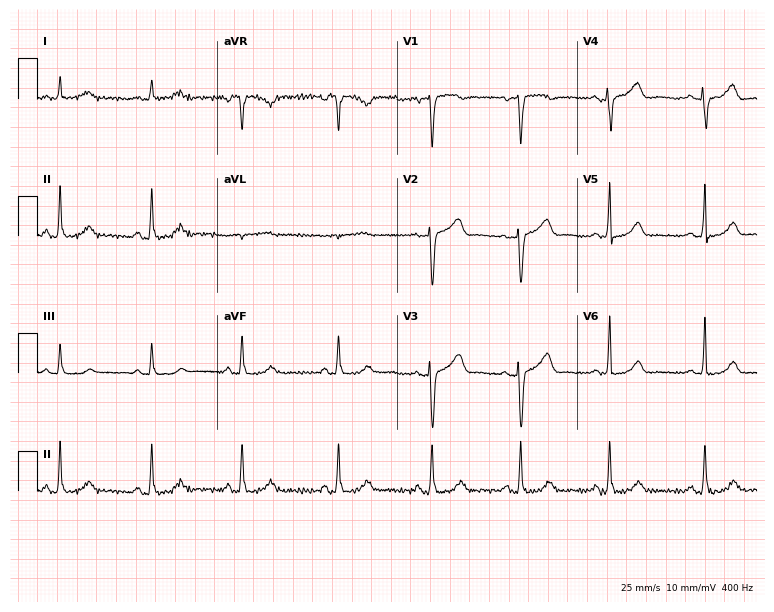
12-lead ECG from a female, 52 years old (7.3-second recording at 400 Hz). No first-degree AV block, right bundle branch block, left bundle branch block, sinus bradycardia, atrial fibrillation or sinus tachycardia recorded for this tracing.